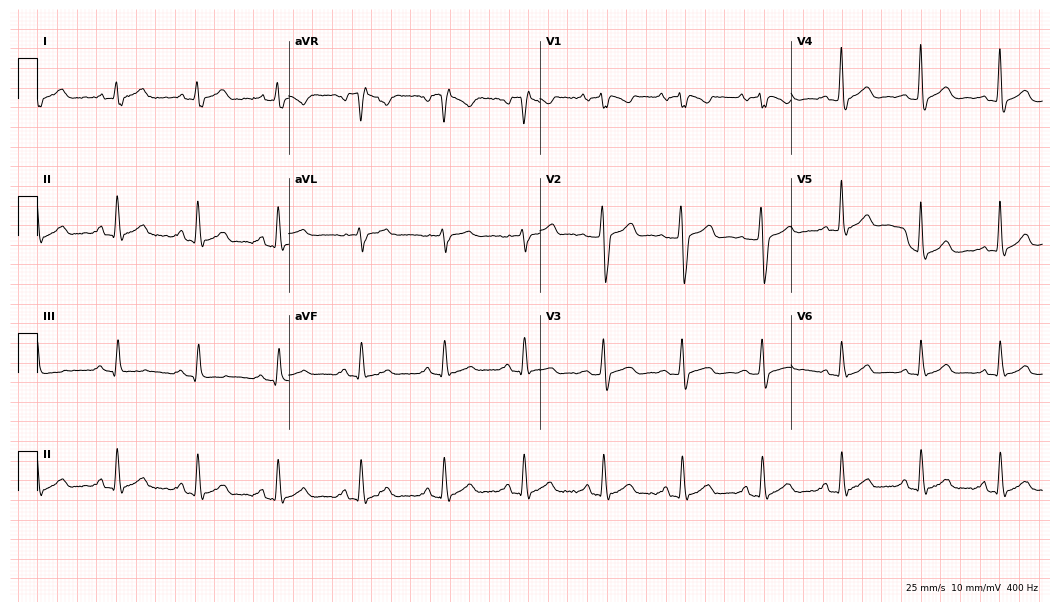
12-lead ECG from a 43-year-old male. No first-degree AV block, right bundle branch block, left bundle branch block, sinus bradycardia, atrial fibrillation or sinus tachycardia recorded for this tracing.